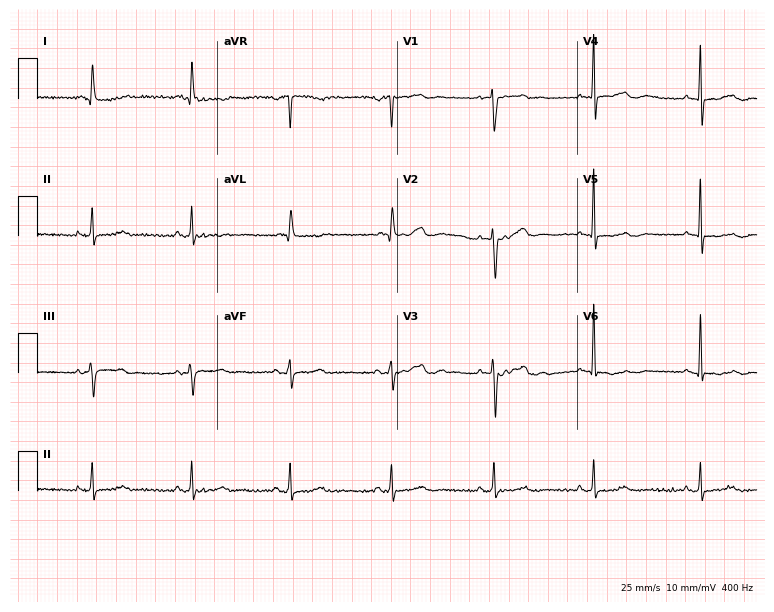
12-lead ECG from a 75-year-old female patient. No first-degree AV block, right bundle branch block (RBBB), left bundle branch block (LBBB), sinus bradycardia, atrial fibrillation (AF) or sinus tachycardia recorded for this tracing. Other findings, if any, are not listed.